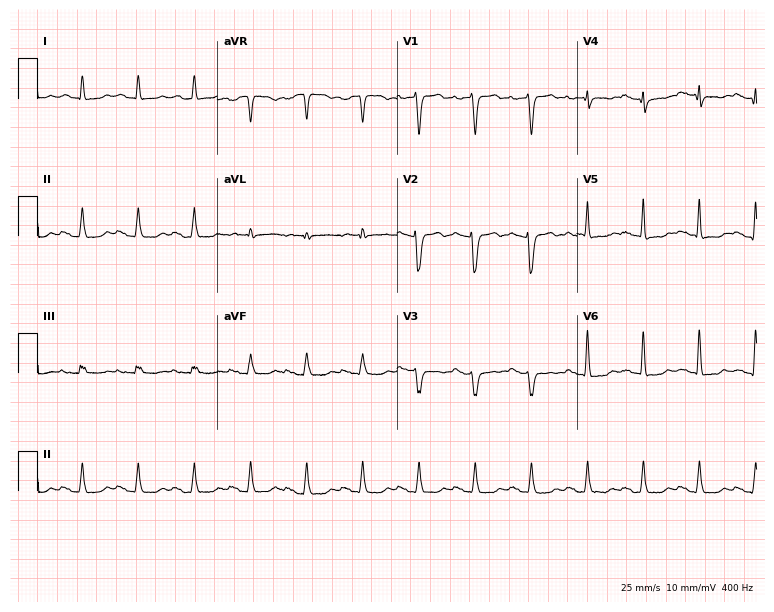
Resting 12-lead electrocardiogram (7.3-second recording at 400 Hz). Patient: a man, 80 years old. The tracing shows sinus tachycardia (a sinus rate of 100 beats per minute or more).